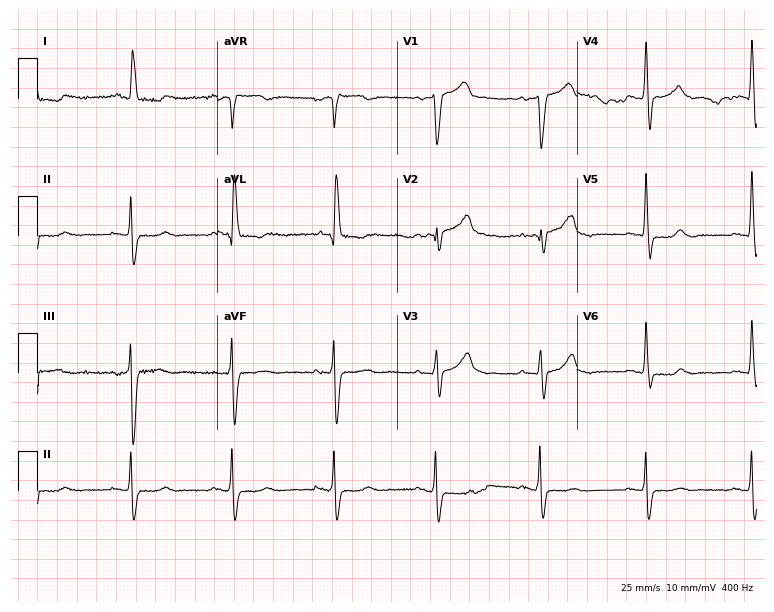
12-lead ECG from a female, 74 years old. No first-degree AV block, right bundle branch block, left bundle branch block, sinus bradycardia, atrial fibrillation or sinus tachycardia recorded for this tracing.